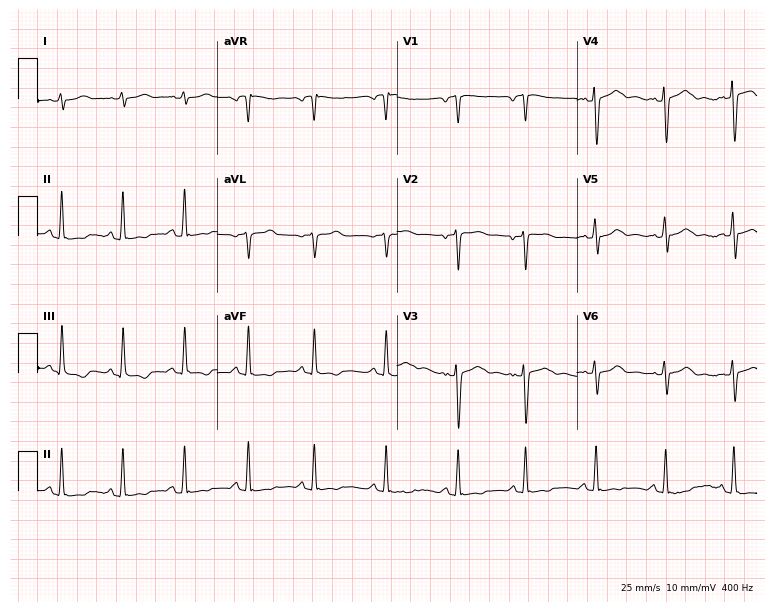
Resting 12-lead electrocardiogram (7.3-second recording at 400 Hz). Patient: a female, 33 years old. None of these six findings is recorded: first-degree AV block, right bundle branch block (RBBB), left bundle branch block (LBBB), sinus bradycardia, atrial fibrillation (AF), sinus tachycardia.